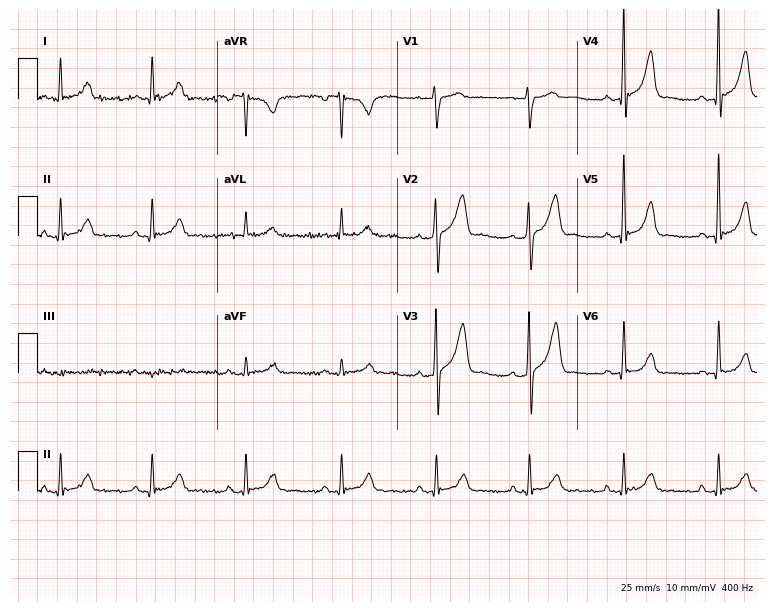
Standard 12-lead ECG recorded from a 47-year-old male patient (7.3-second recording at 400 Hz). None of these six findings is recorded: first-degree AV block, right bundle branch block, left bundle branch block, sinus bradycardia, atrial fibrillation, sinus tachycardia.